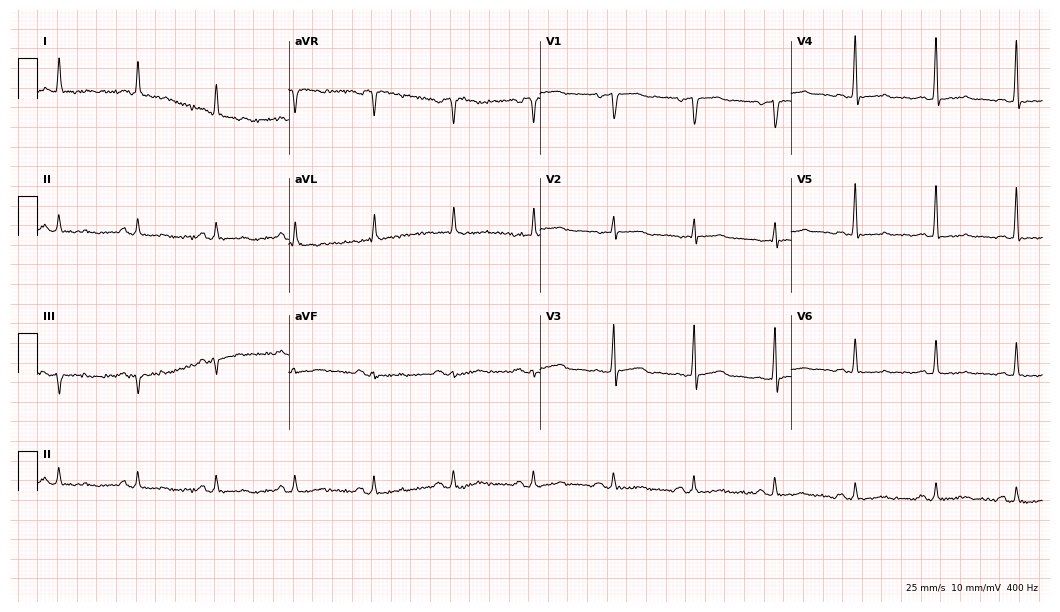
Standard 12-lead ECG recorded from a 71-year-old male patient. Read as a normal ECG.